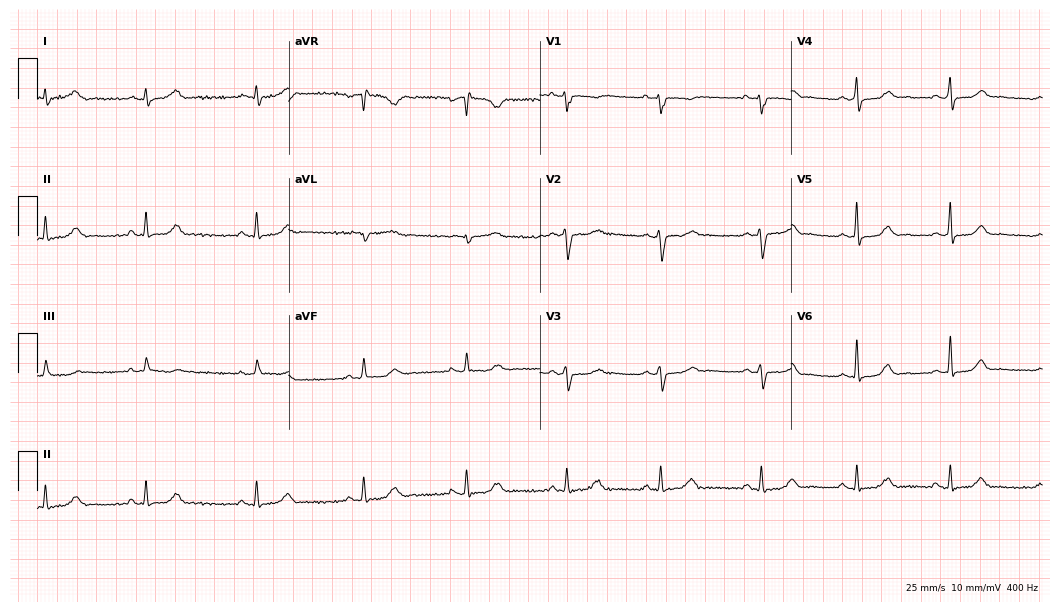
Resting 12-lead electrocardiogram (10.2-second recording at 400 Hz). Patient: a 40-year-old female. Read as a normal ECG.